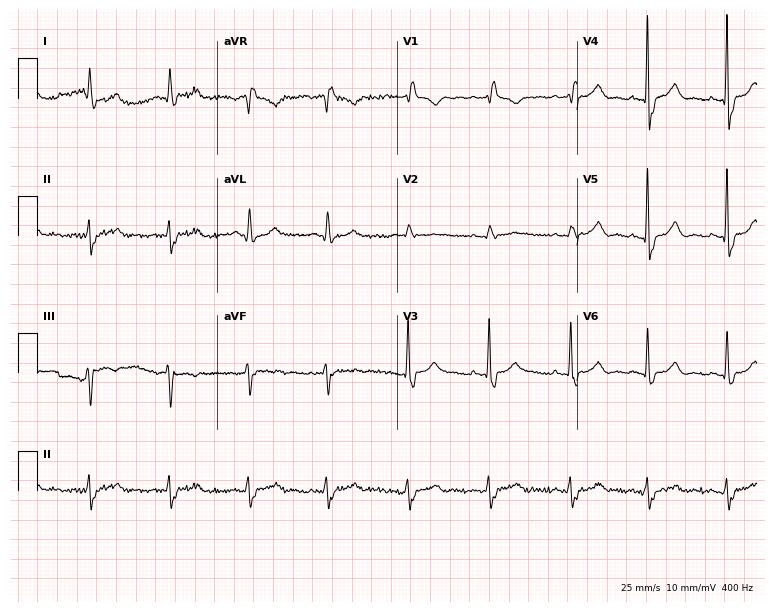
12-lead ECG (7.3-second recording at 400 Hz) from a man, 73 years old. Findings include right bundle branch block (RBBB).